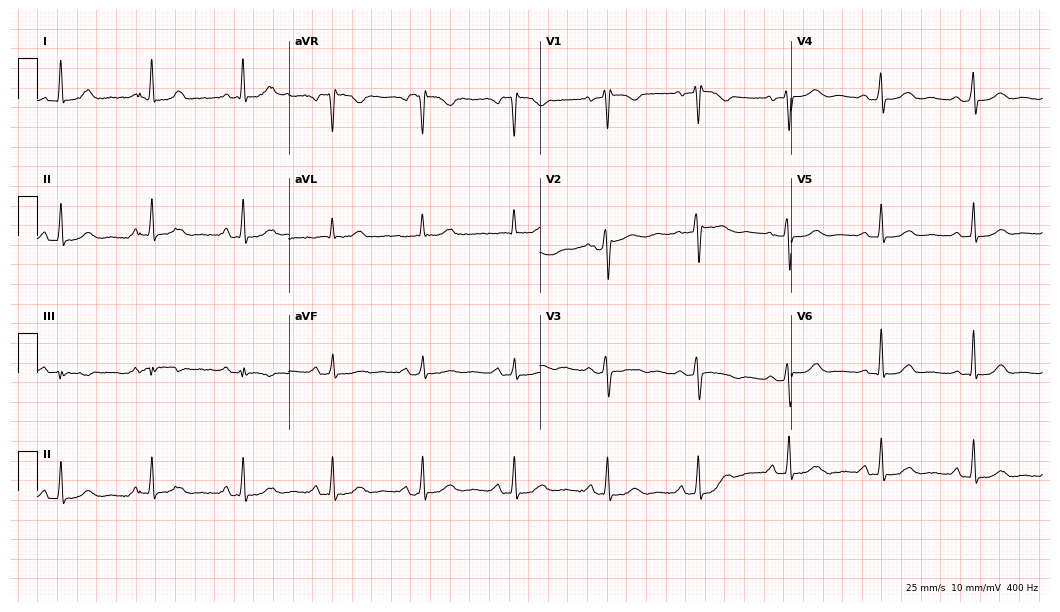
Standard 12-lead ECG recorded from a 64-year-old female (10.2-second recording at 400 Hz). None of these six findings is recorded: first-degree AV block, right bundle branch block, left bundle branch block, sinus bradycardia, atrial fibrillation, sinus tachycardia.